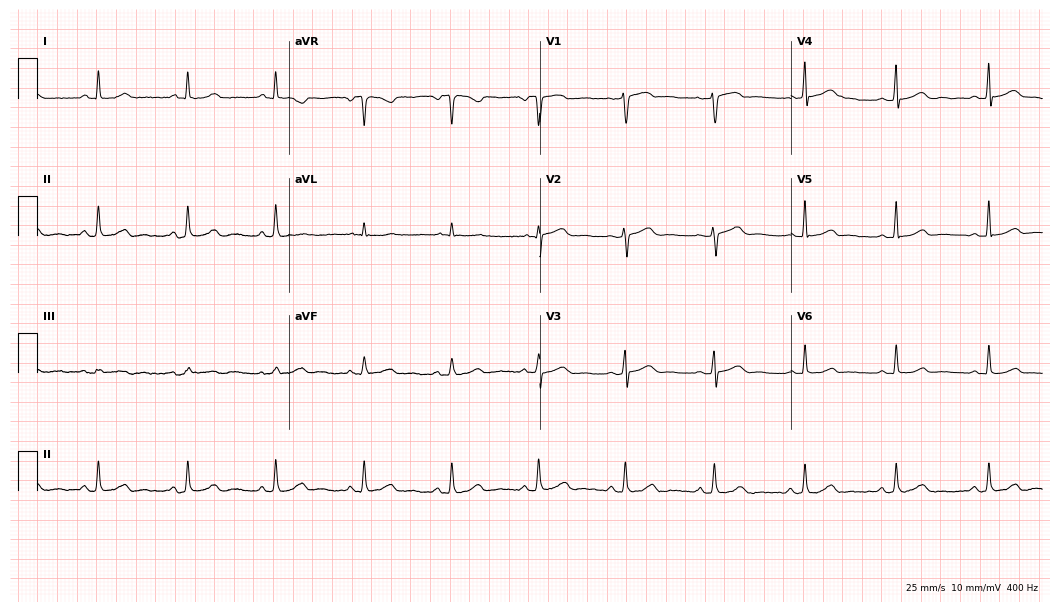
Electrocardiogram, a female, 51 years old. Overall reading on record: normal ECG.